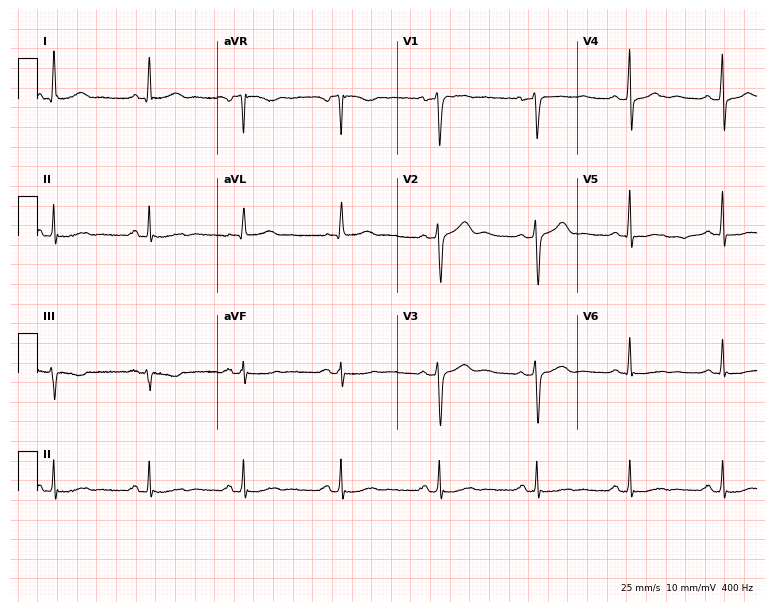
Resting 12-lead electrocardiogram (7.3-second recording at 400 Hz). Patient: a female, 59 years old. None of these six findings is recorded: first-degree AV block, right bundle branch block, left bundle branch block, sinus bradycardia, atrial fibrillation, sinus tachycardia. Findings outside these six are not listed.